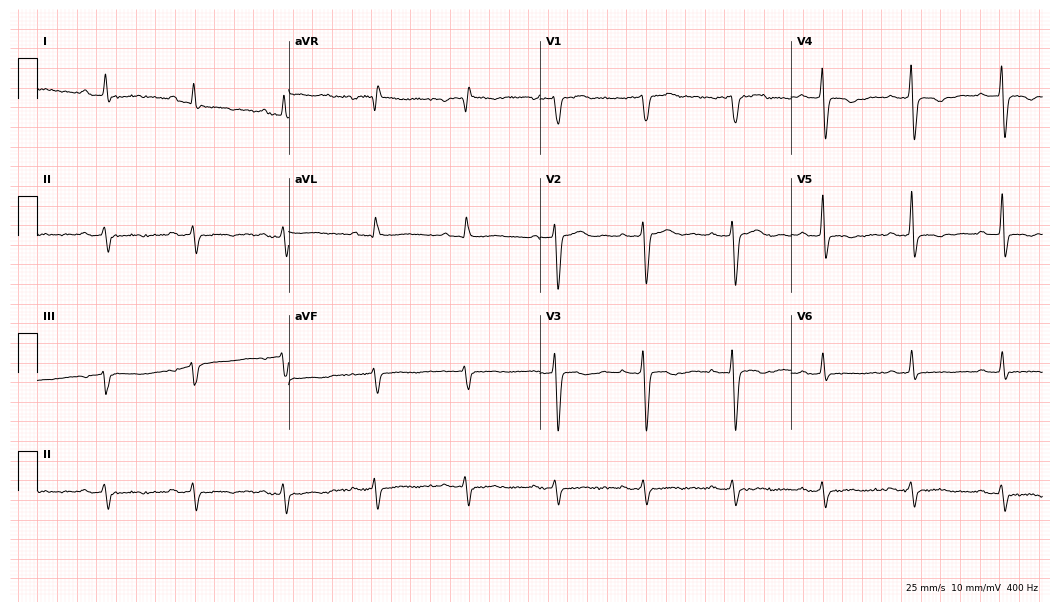
Electrocardiogram, a 57-year-old male patient. Interpretation includes first-degree AV block.